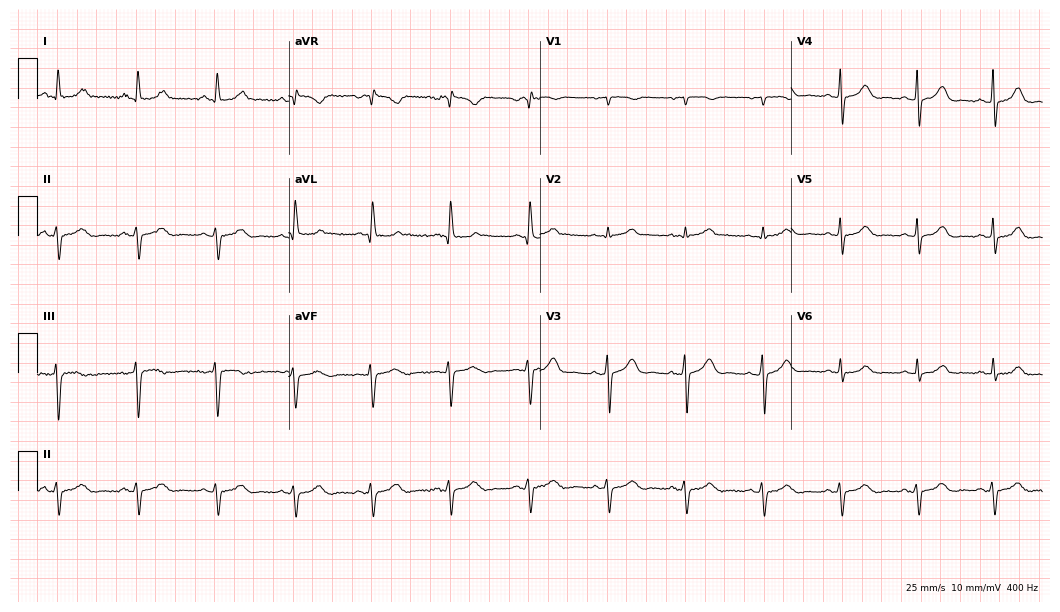
Electrocardiogram, a female patient, 55 years old. Of the six screened findings (first-degree AV block, right bundle branch block (RBBB), left bundle branch block (LBBB), sinus bradycardia, atrial fibrillation (AF), sinus tachycardia), none is recorded.